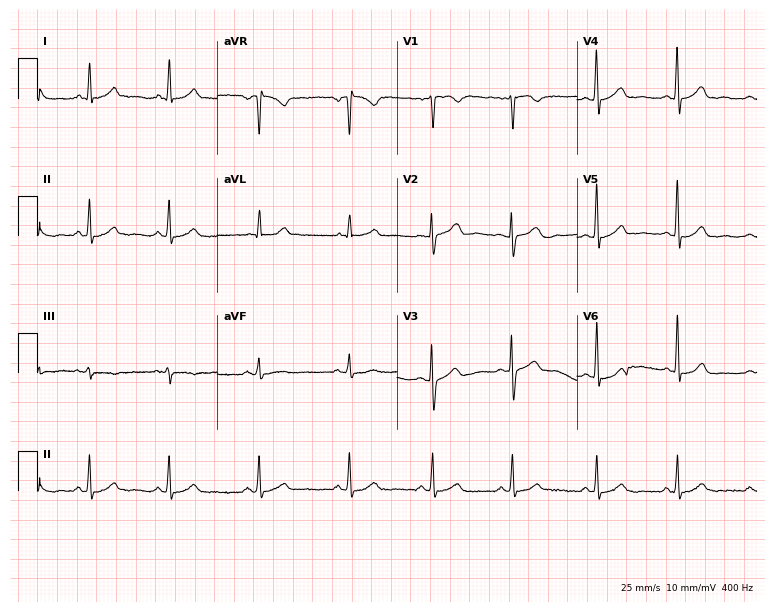
12-lead ECG from a 42-year-old female. No first-degree AV block, right bundle branch block (RBBB), left bundle branch block (LBBB), sinus bradycardia, atrial fibrillation (AF) or sinus tachycardia recorded for this tracing. Findings outside these six are not listed.